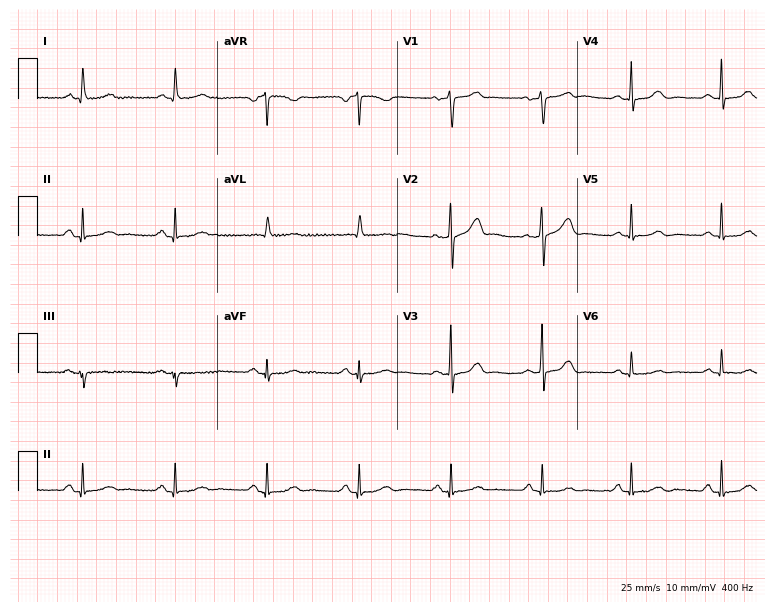
Resting 12-lead electrocardiogram. Patient: a female, 63 years old. Read as a normal ECG.